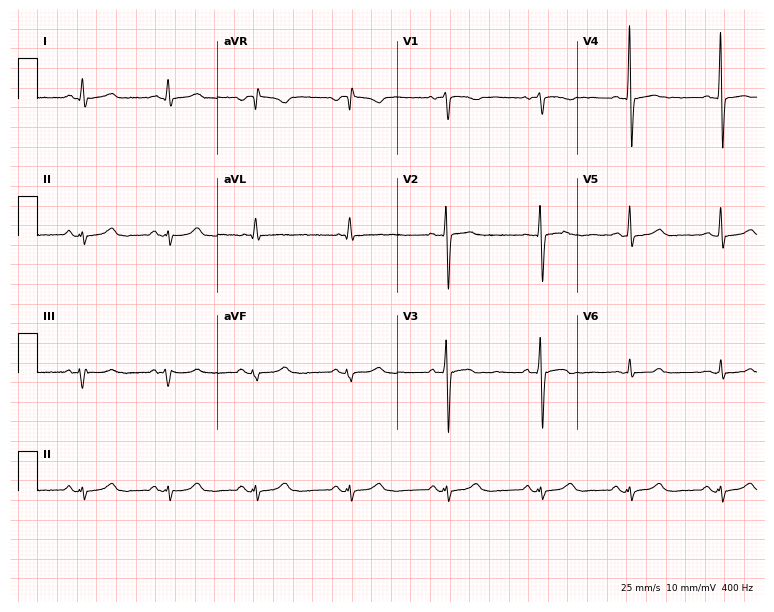
ECG — a 48-year-old female. Labelled as a normal ECG.